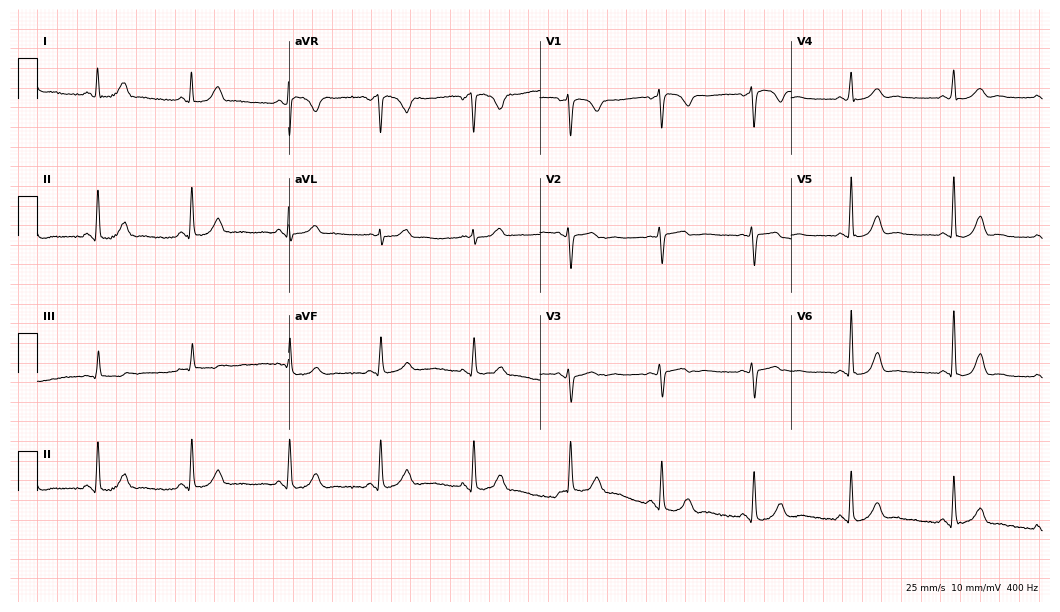
12-lead ECG from a female, 53 years old (10.2-second recording at 400 Hz). Recorded interpretation: within normal limits.